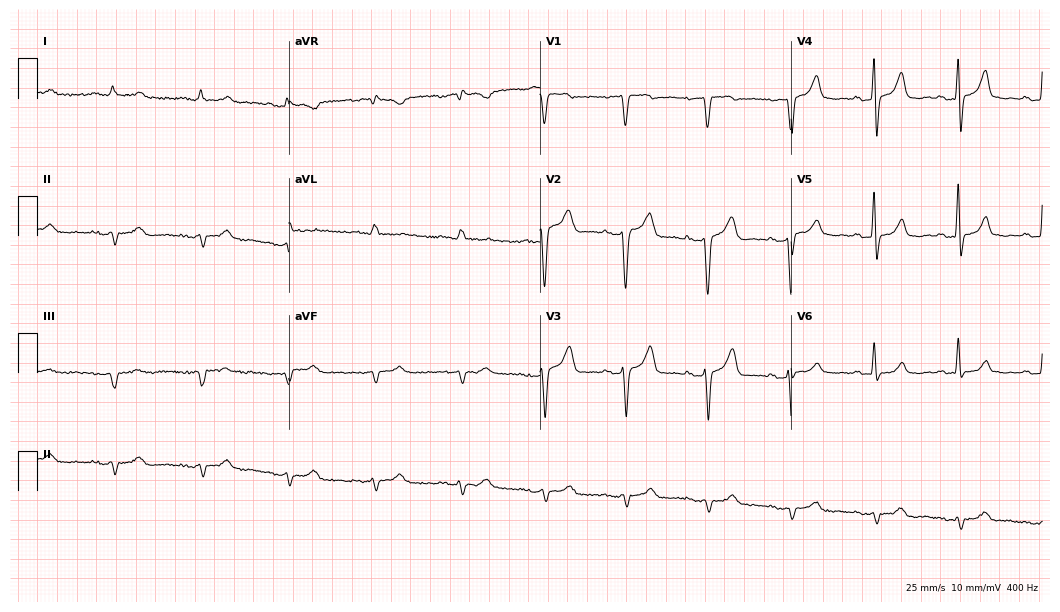
12-lead ECG from a man, 85 years old. No first-degree AV block, right bundle branch block (RBBB), left bundle branch block (LBBB), sinus bradycardia, atrial fibrillation (AF) or sinus tachycardia recorded for this tracing. Other findings, if any, are not listed.